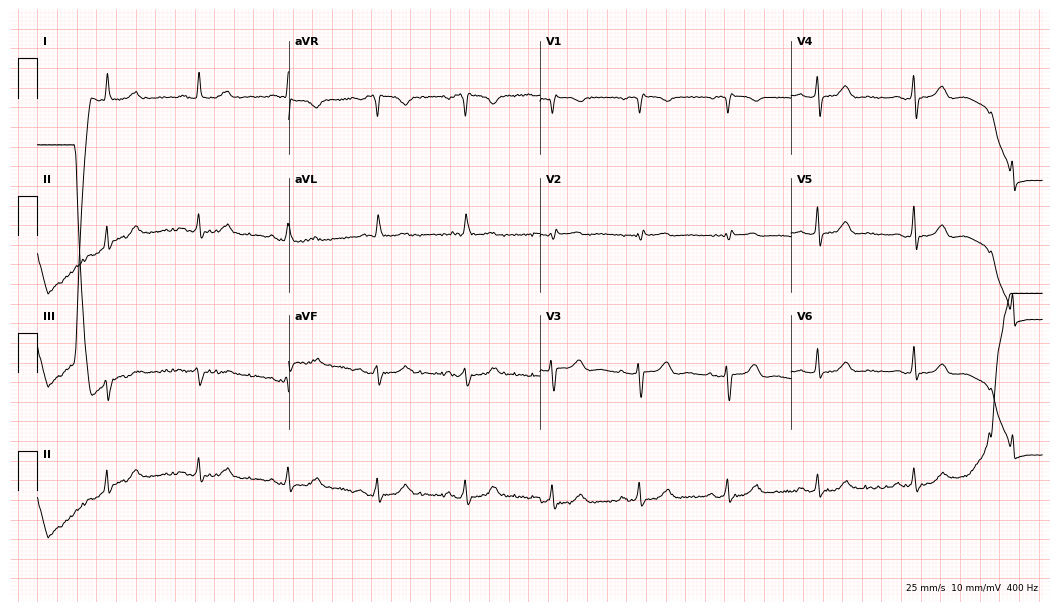
12-lead ECG (10.2-second recording at 400 Hz) from a 68-year-old female patient. Screened for six findings — first-degree AV block, right bundle branch block (RBBB), left bundle branch block (LBBB), sinus bradycardia, atrial fibrillation (AF), sinus tachycardia — none is recorded.